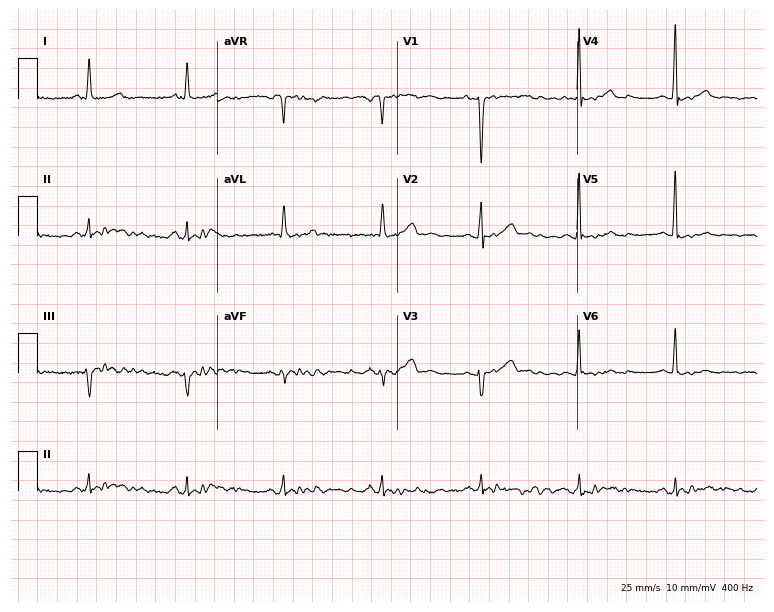
Resting 12-lead electrocardiogram. Patient: a woman, 51 years old. None of these six findings is recorded: first-degree AV block, right bundle branch block, left bundle branch block, sinus bradycardia, atrial fibrillation, sinus tachycardia.